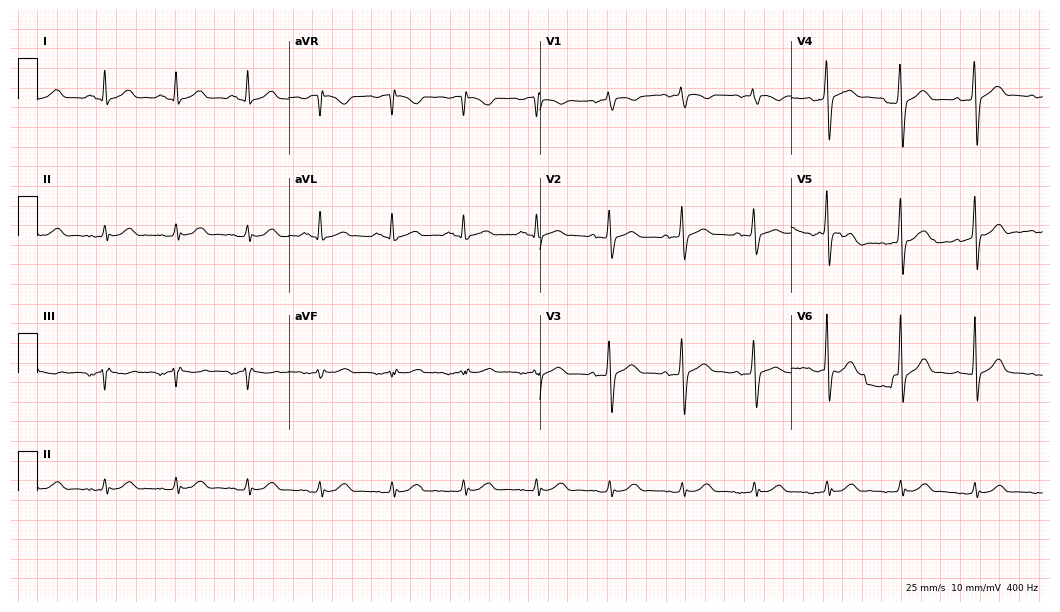
Standard 12-lead ECG recorded from a male, 54 years old (10.2-second recording at 400 Hz). Read as a normal ECG.